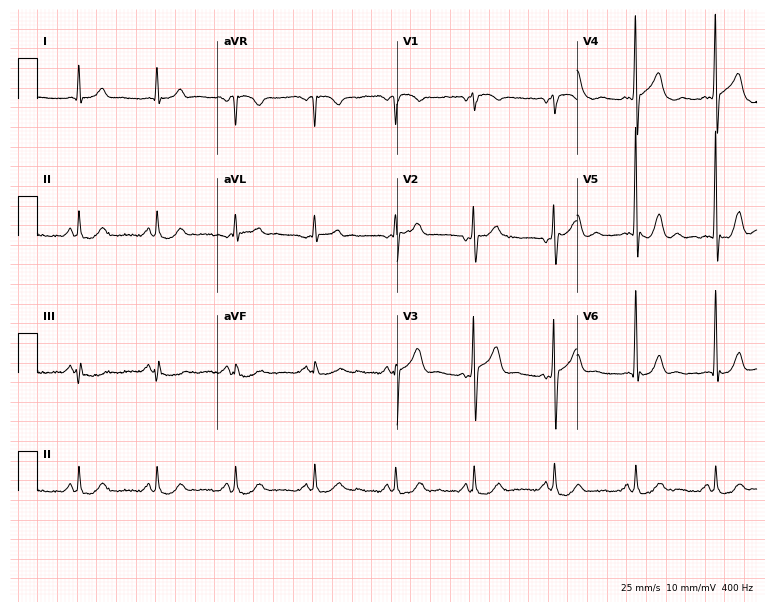
12-lead ECG from a 68-year-old male. Labelled as a normal ECG.